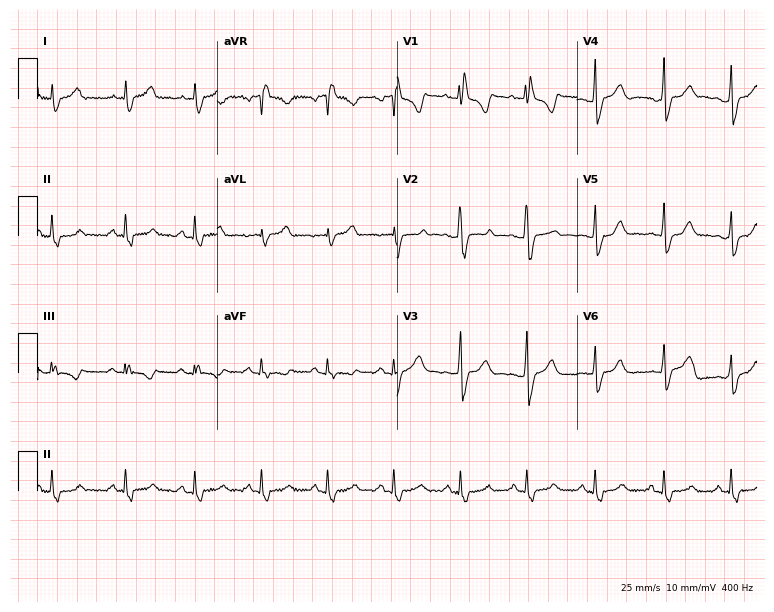
12-lead ECG (7.3-second recording at 400 Hz) from a female patient, 22 years old. Findings include right bundle branch block.